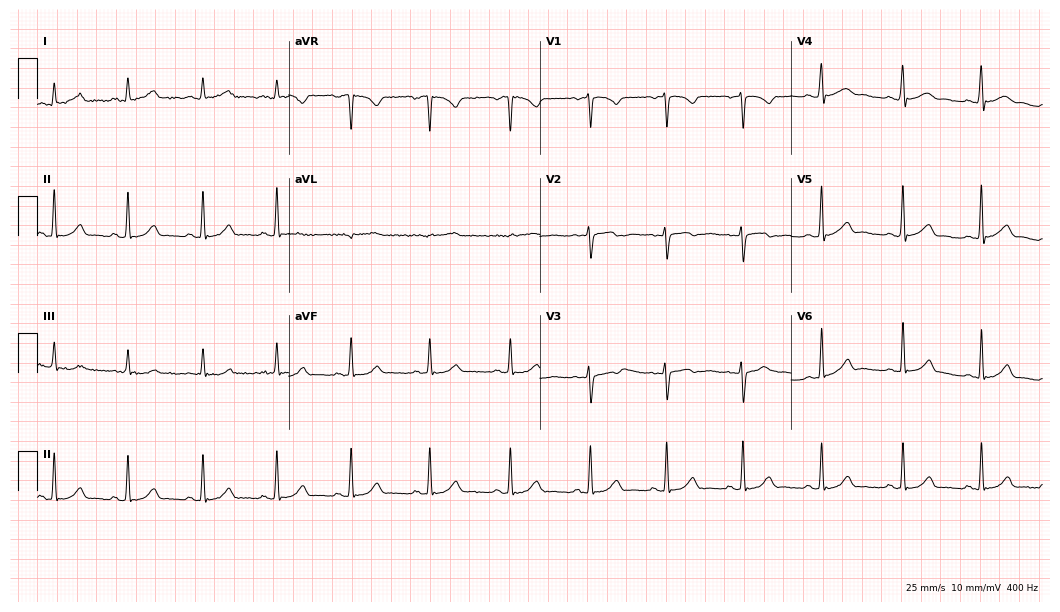
12-lead ECG (10.2-second recording at 400 Hz) from a female patient, 26 years old. Screened for six findings — first-degree AV block, right bundle branch block, left bundle branch block, sinus bradycardia, atrial fibrillation, sinus tachycardia — none is recorded. Other findings, if any, are not listed.